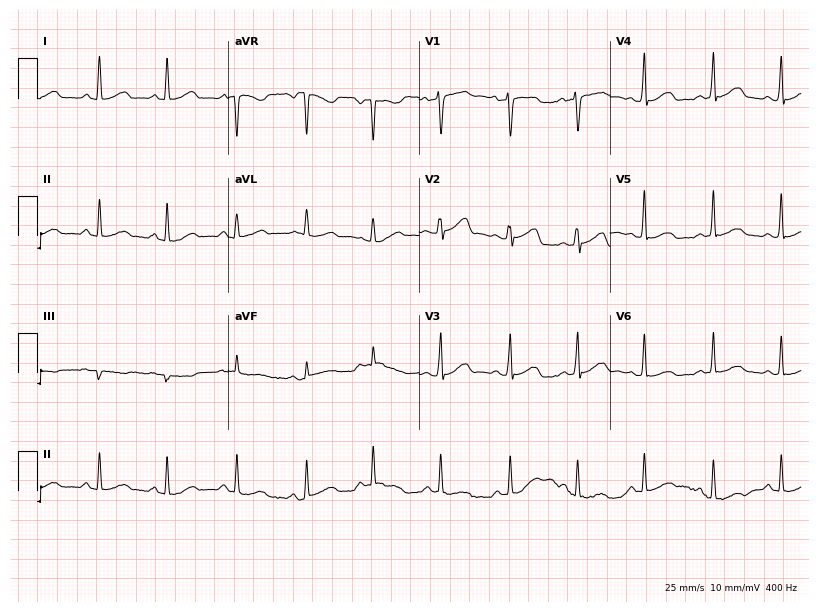
Standard 12-lead ECG recorded from a female patient, 35 years old. None of these six findings is recorded: first-degree AV block, right bundle branch block, left bundle branch block, sinus bradycardia, atrial fibrillation, sinus tachycardia. Only these six findings were labelled.